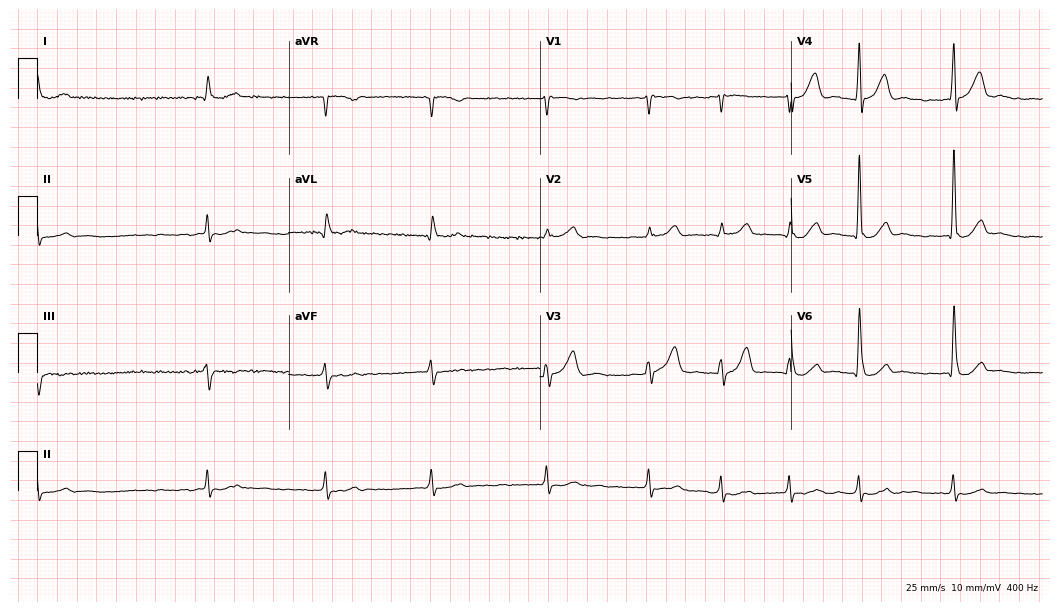
Electrocardiogram, a male patient, 87 years old. Interpretation includes atrial fibrillation.